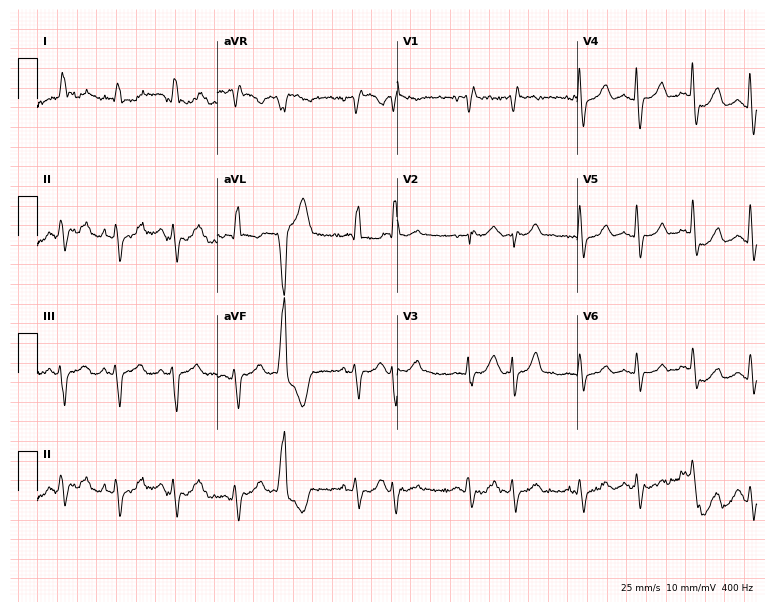
12-lead ECG from a female patient, 82 years old. No first-degree AV block, right bundle branch block, left bundle branch block, sinus bradycardia, atrial fibrillation or sinus tachycardia recorded for this tracing.